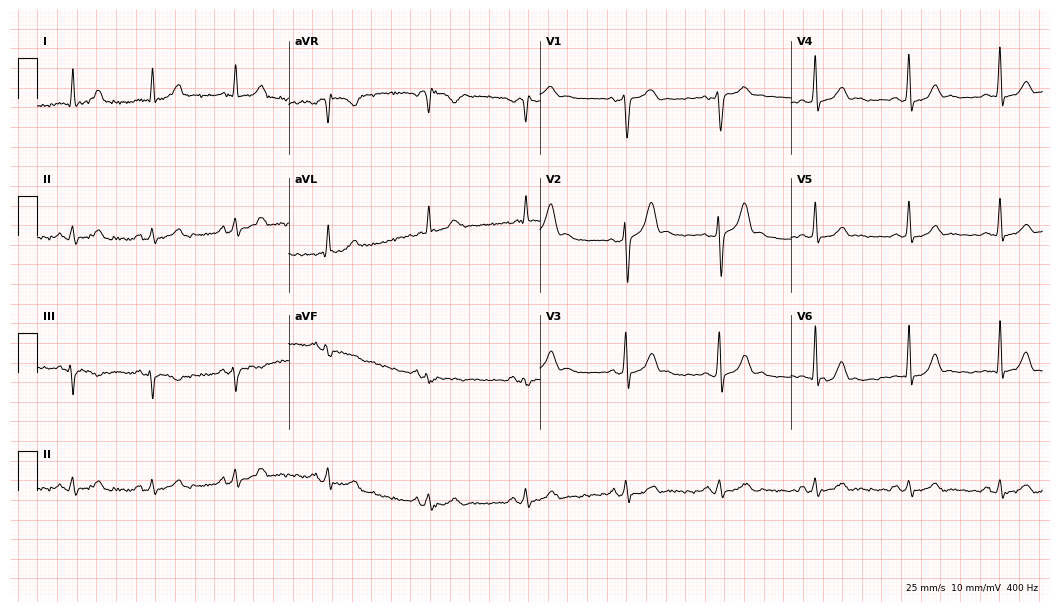
ECG (10.2-second recording at 400 Hz) — a 42-year-old male. Screened for six findings — first-degree AV block, right bundle branch block, left bundle branch block, sinus bradycardia, atrial fibrillation, sinus tachycardia — none is recorded. Other findings, if any, are not listed.